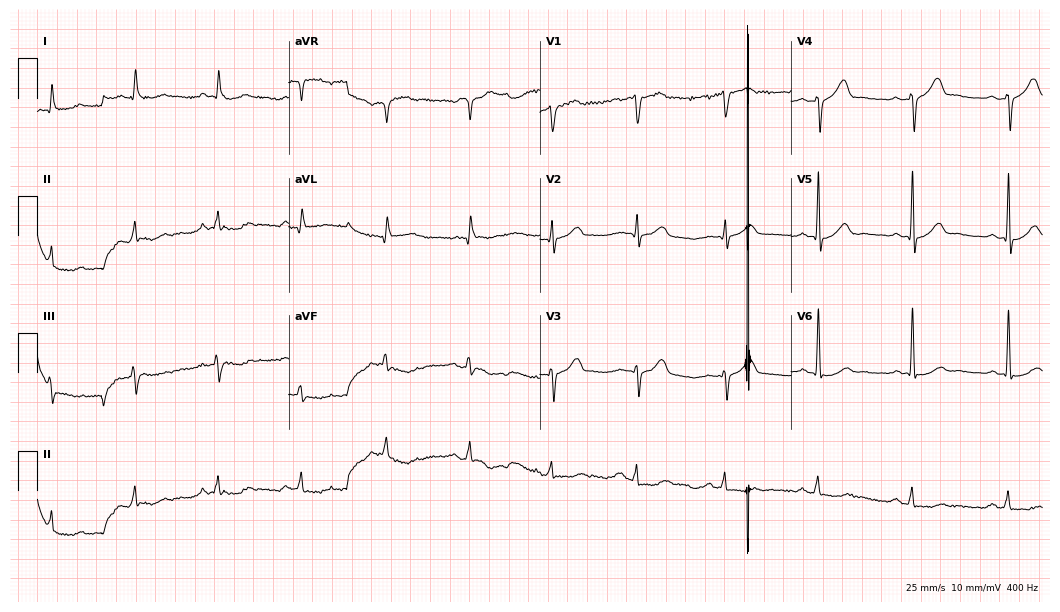
12-lead ECG from a male patient, 70 years old. Labelled as a normal ECG.